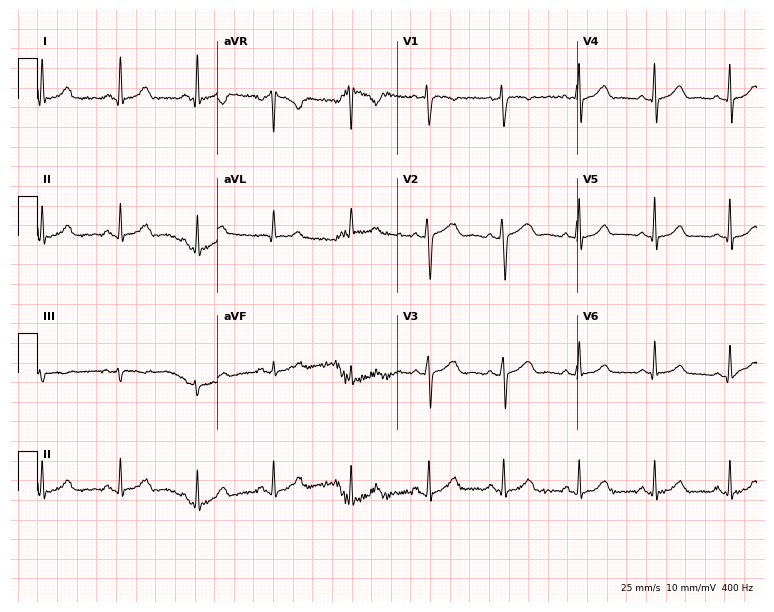
Standard 12-lead ECG recorded from a female, 37 years old. Read as a normal ECG.